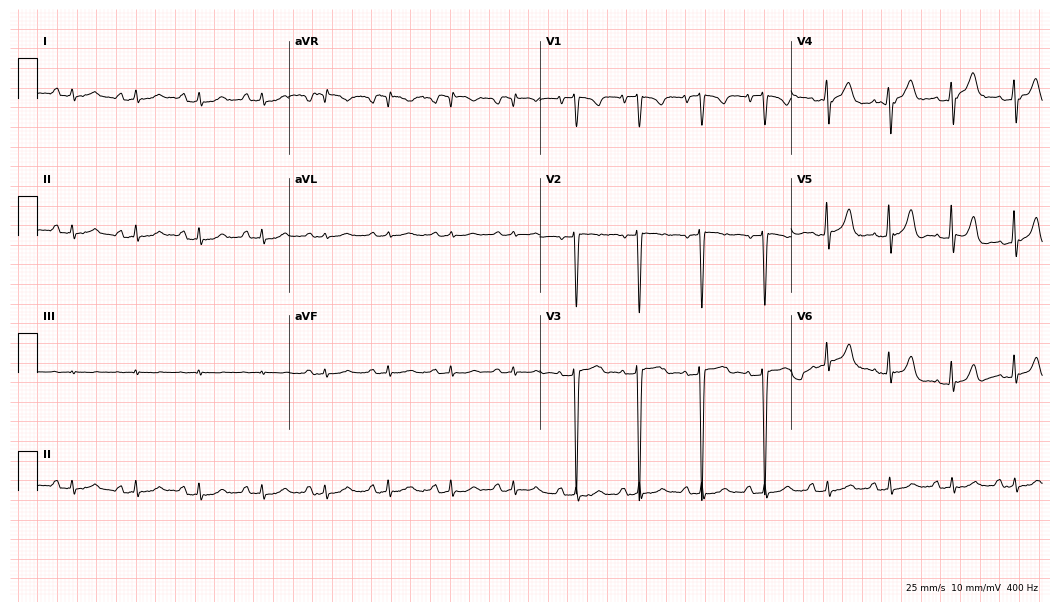
12-lead ECG from a woman, 64 years old (10.2-second recording at 400 Hz). Recorded interpretation: within normal limits.